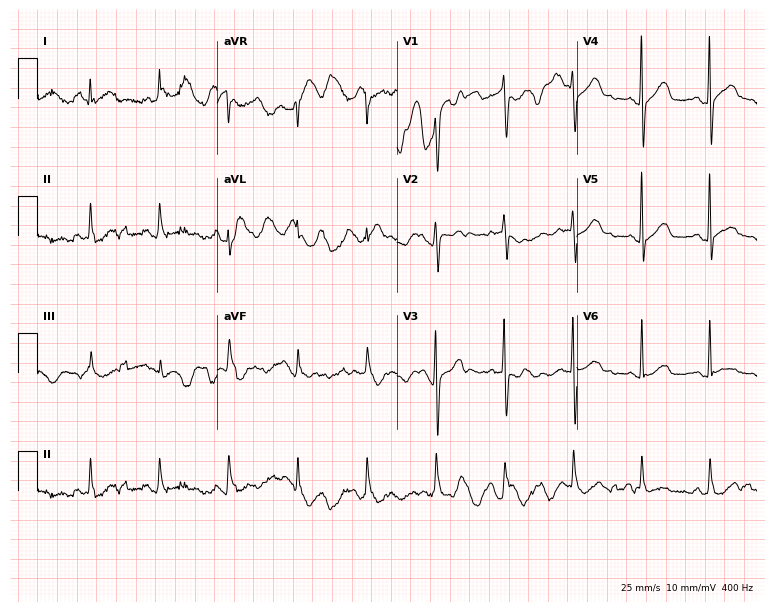
Electrocardiogram, a male patient, 54 years old. Of the six screened findings (first-degree AV block, right bundle branch block, left bundle branch block, sinus bradycardia, atrial fibrillation, sinus tachycardia), none is recorded. Other findings, if any, are not listed.